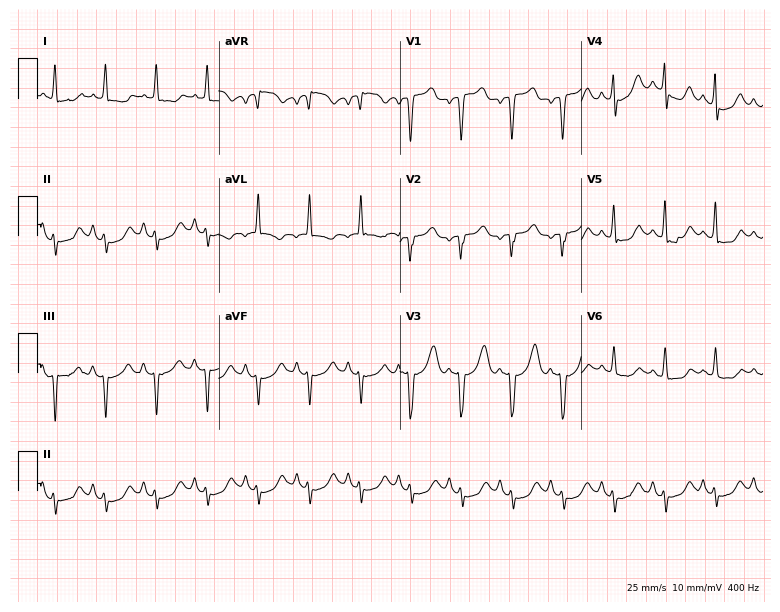
Electrocardiogram (7.4-second recording at 400 Hz), an 80-year-old female. Of the six screened findings (first-degree AV block, right bundle branch block (RBBB), left bundle branch block (LBBB), sinus bradycardia, atrial fibrillation (AF), sinus tachycardia), none is recorded.